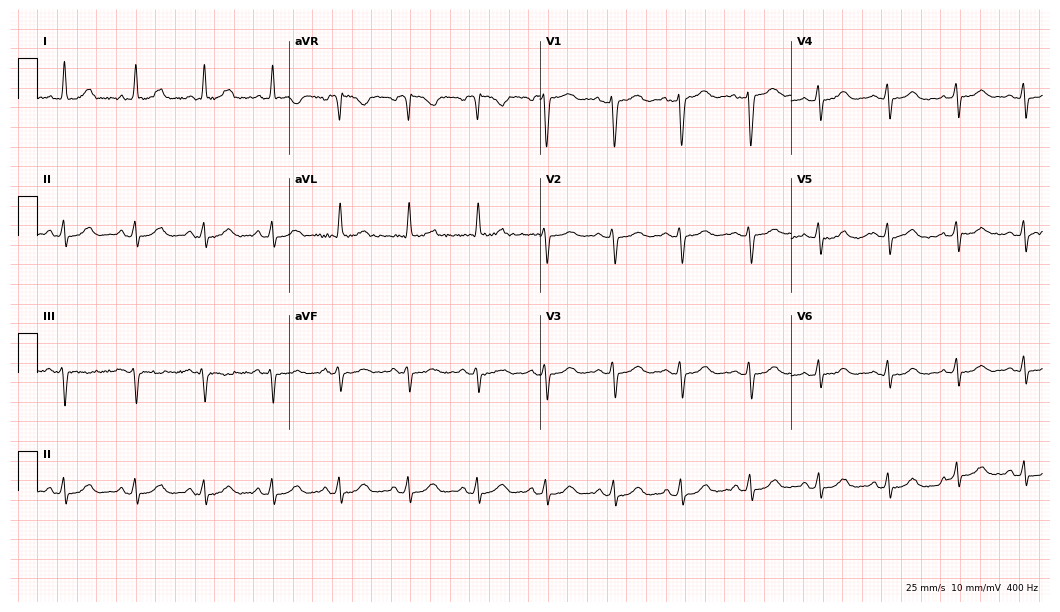
Resting 12-lead electrocardiogram. Patient: a woman, 54 years old. Read as a normal ECG.